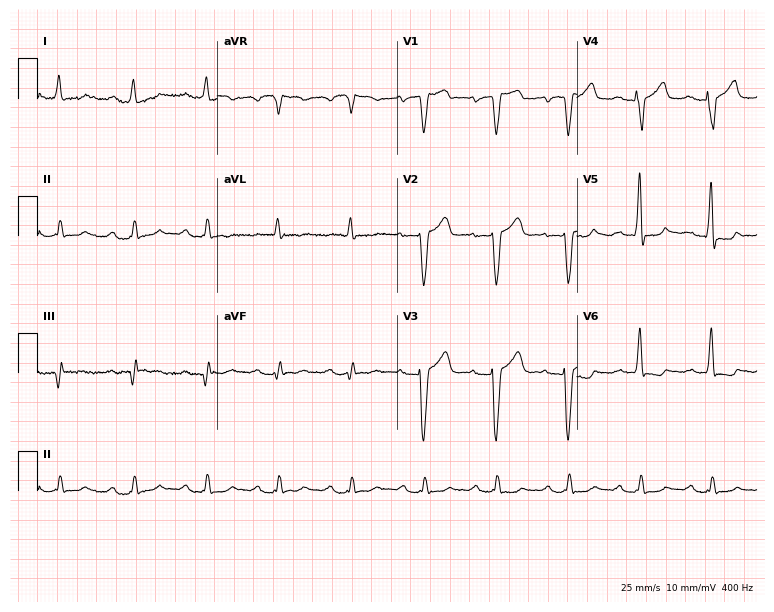
Electrocardiogram (7.3-second recording at 400 Hz), a male, 85 years old. Of the six screened findings (first-degree AV block, right bundle branch block (RBBB), left bundle branch block (LBBB), sinus bradycardia, atrial fibrillation (AF), sinus tachycardia), none is recorded. Only these six findings were labelled.